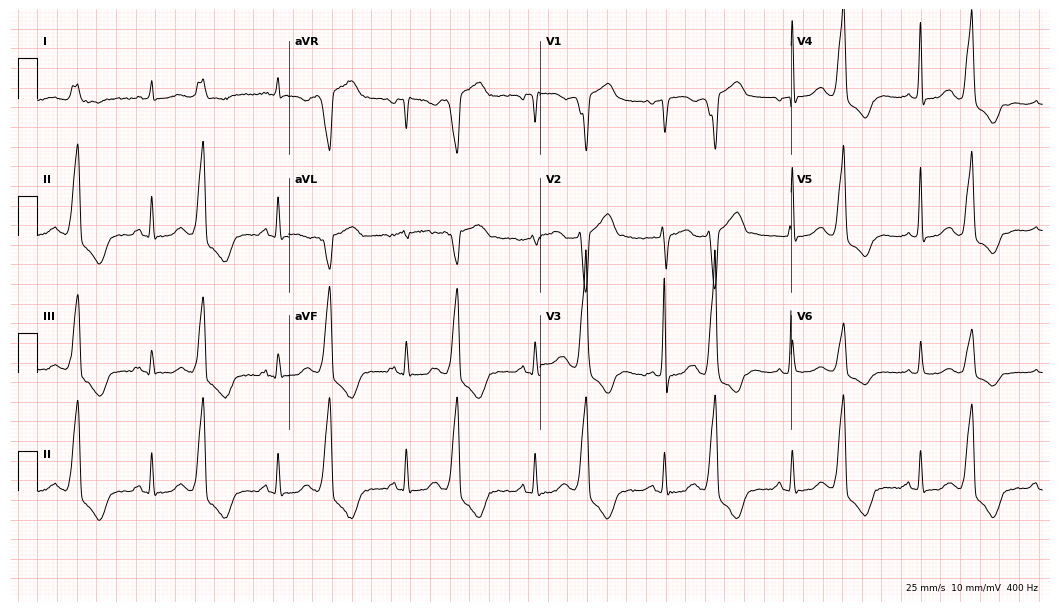
Electrocardiogram, a 63-year-old female patient. Of the six screened findings (first-degree AV block, right bundle branch block (RBBB), left bundle branch block (LBBB), sinus bradycardia, atrial fibrillation (AF), sinus tachycardia), none is recorded. Other findings, if any, are not listed.